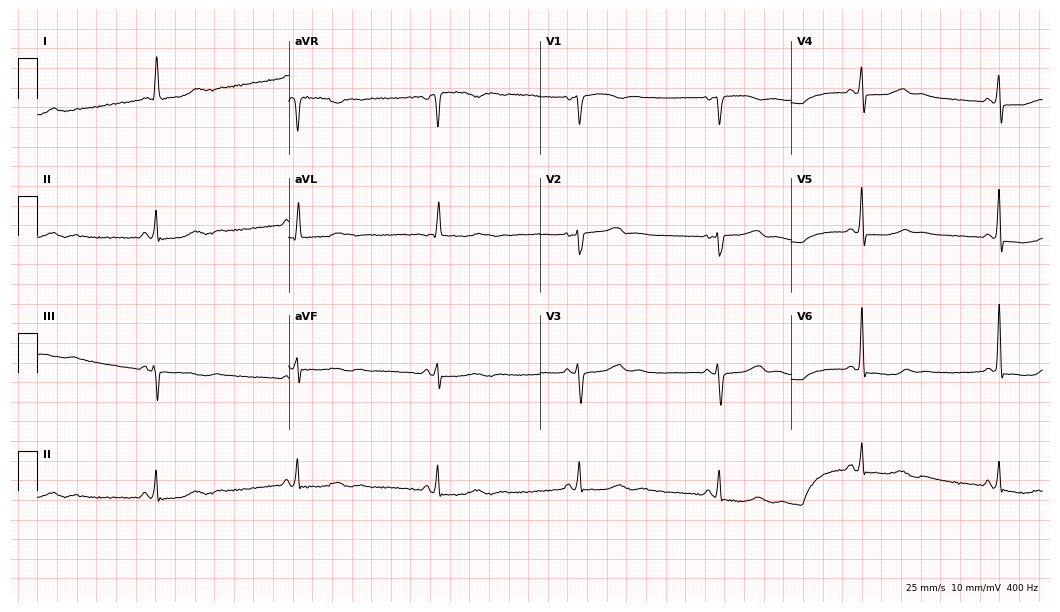
Electrocardiogram, a 70-year-old female patient. Of the six screened findings (first-degree AV block, right bundle branch block (RBBB), left bundle branch block (LBBB), sinus bradycardia, atrial fibrillation (AF), sinus tachycardia), none is recorded.